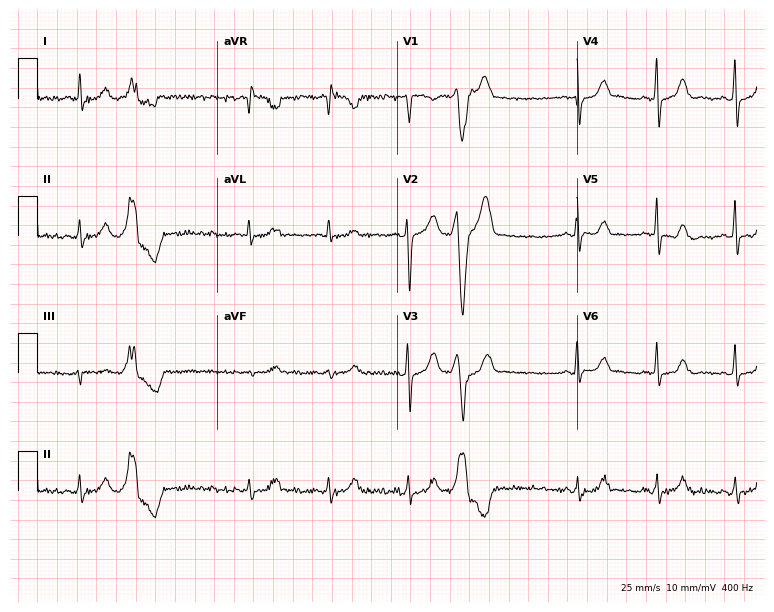
Resting 12-lead electrocardiogram (7.3-second recording at 400 Hz). Patient: a female, 25 years old. None of these six findings is recorded: first-degree AV block, right bundle branch block, left bundle branch block, sinus bradycardia, atrial fibrillation, sinus tachycardia.